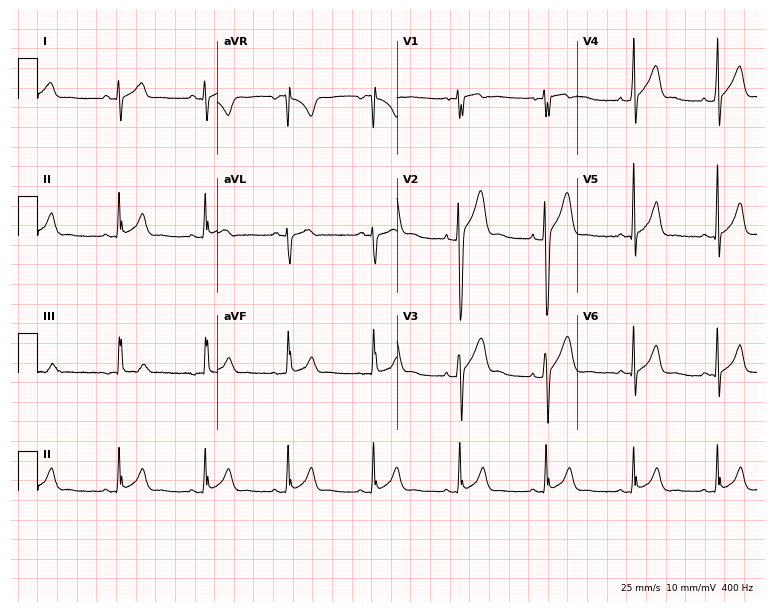
Resting 12-lead electrocardiogram. Patient: an 18-year-old male. None of these six findings is recorded: first-degree AV block, right bundle branch block, left bundle branch block, sinus bradycardia, atrial fibrillation, sinus tachycardia. Findings outside these six are not listed.